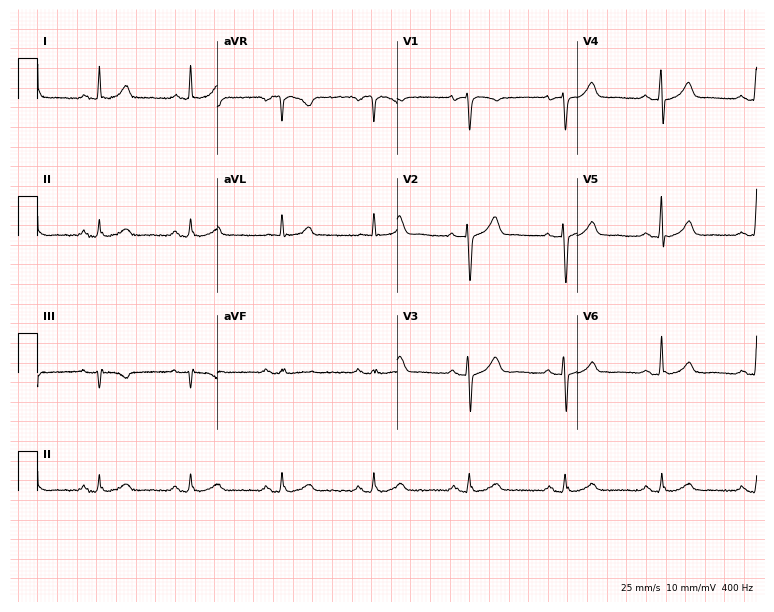
12-lead ECG from a male, 55 years old. Labelled as a normal ECG.